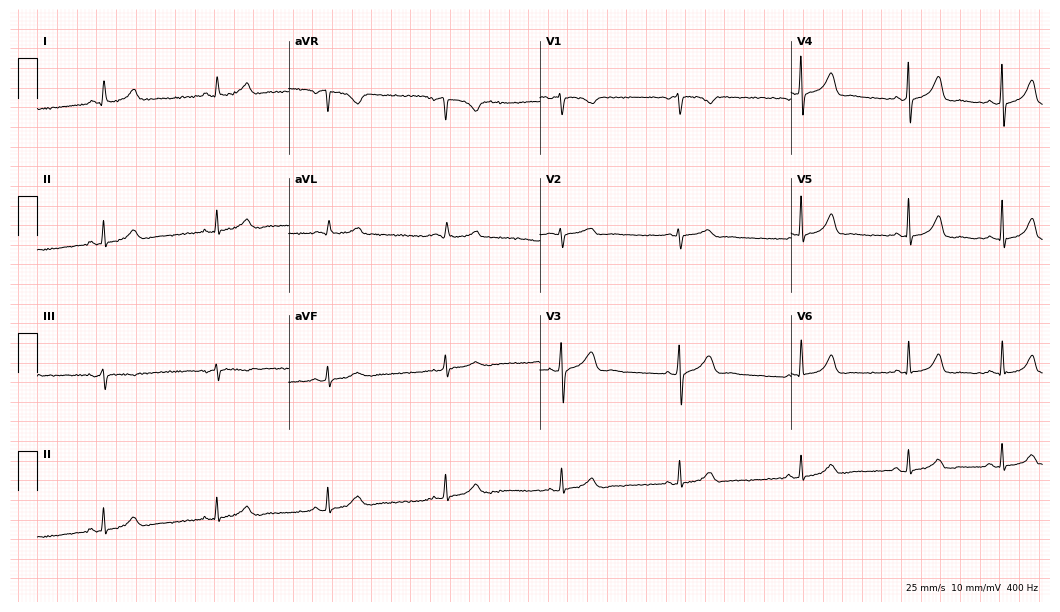
12-lead ECG from a 28-year-old woman. No first-degree AV block, right bundle branch block (RBBB), left bundle branch block (LBBB), sinus bradycardia, atrial fibrillation (AF) or sinus tachycardia recorded for this tracing. Only these six findings were labelled.